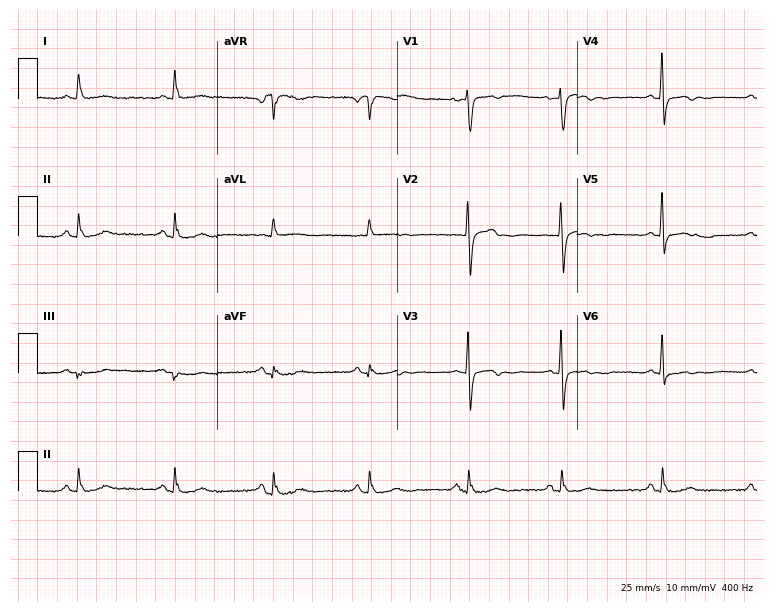
Standard 12-lead ECG recorded from a female patient, 49 years old. None of these six findings is recorded: first-degree AV block, right bundle branch block (RBBB), left bundle branch block (LBBB), sinus bradycardia, atrial fibrillation (AF), sinus tachycardia. Other findings, if any, are not listed.